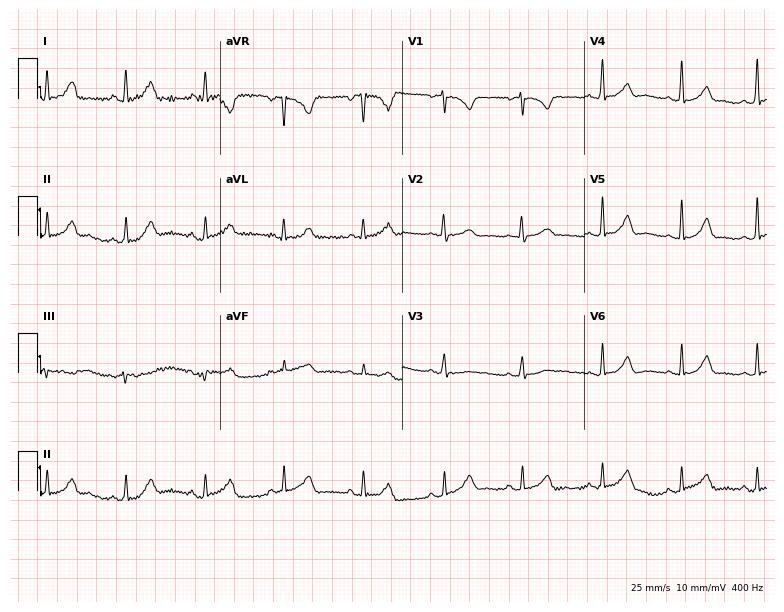
Standard 12-lead ECG recorded from a female, 21 years old (7.4-second recording at 400 Hz). Read as a normal ECG.